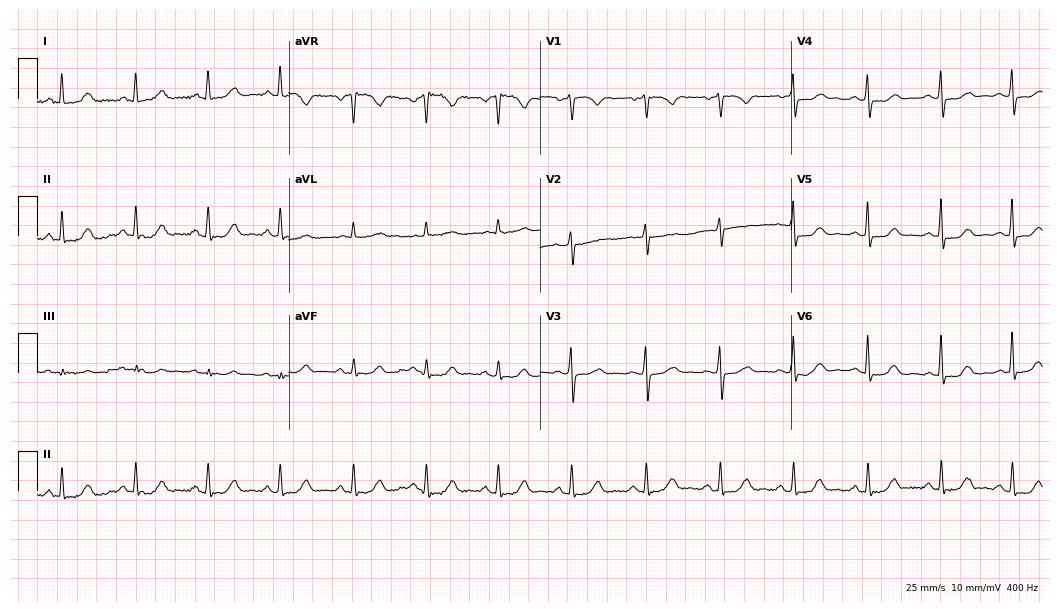
ECG (10.2-second recording at 400 Hz) — a 46-year-old female. Screened for six findings — first-degree AV block, right bundle branch block, left bundle branch block, sinus bradycardia, atrial fibrillation, sinus tachycardia — none is recorded.